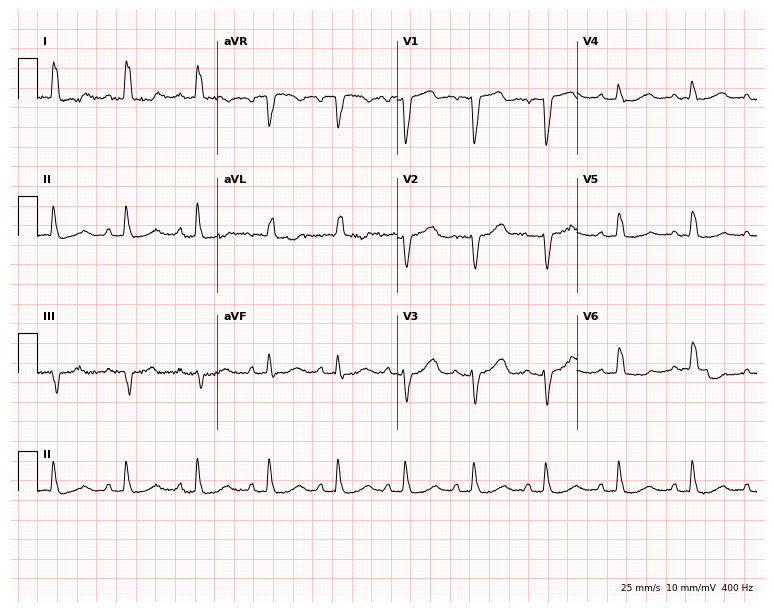
Resting 12-lead electrocardiogram. Patient: a 70-year-old female. None of these six findings is recorded: first-degree AV block, right bundle branch block, left bundle branch block, sinus bradycardia, atrial fibrillation, sinus tachycardia. Findings outside these six are not listed.